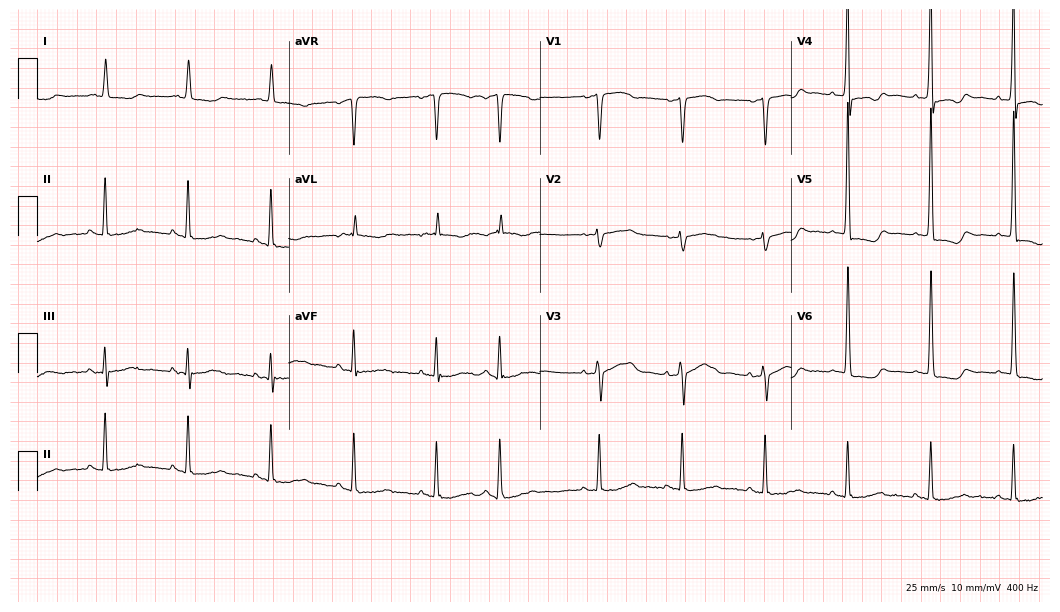
12-lead ECG (10.2-second recording at 400 Hz) from an 81-year-old female. Screened for six findings — first-degree AV block, right bundle branch block, left bundle branch block, sinus bradycardia, atrial fibrillation, sinus tachycardia — none is recorded.